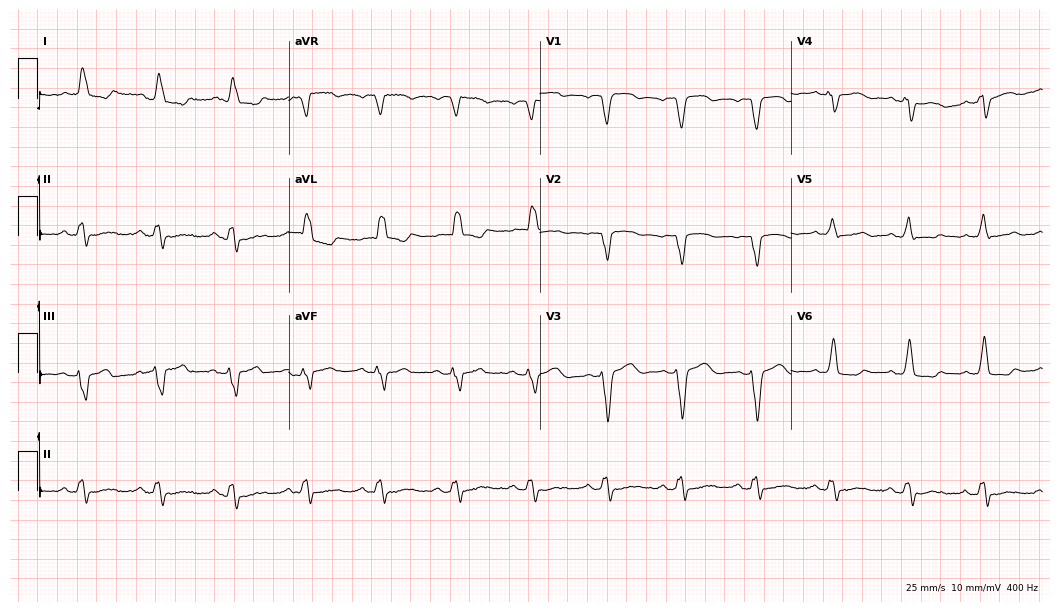
Electrocardiogram (10.2-second recording at 400 Hz), a female patient, 76 years old. Of the six screened findings (first-degree AV block, right bundle branch block, left bundle branch block, sinus bradycardia, atrial fibrillation, sinus tachycardia), none is recorded. Only these six findings were labelled.